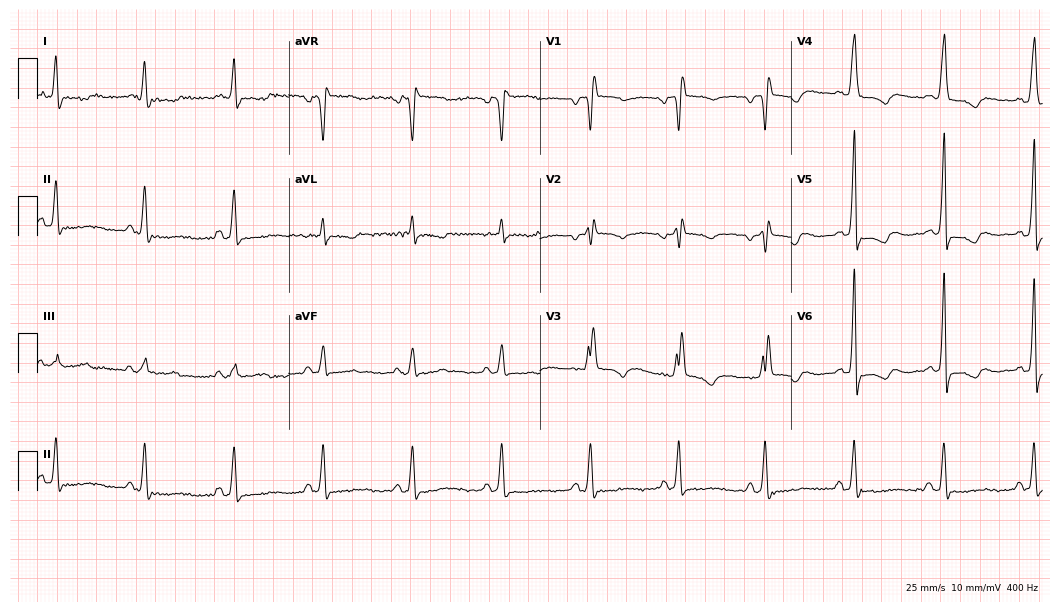
ECG (10.2-second recording at 400 Hz) — a female patient, 71 years old. Findings include right bundle branch block.